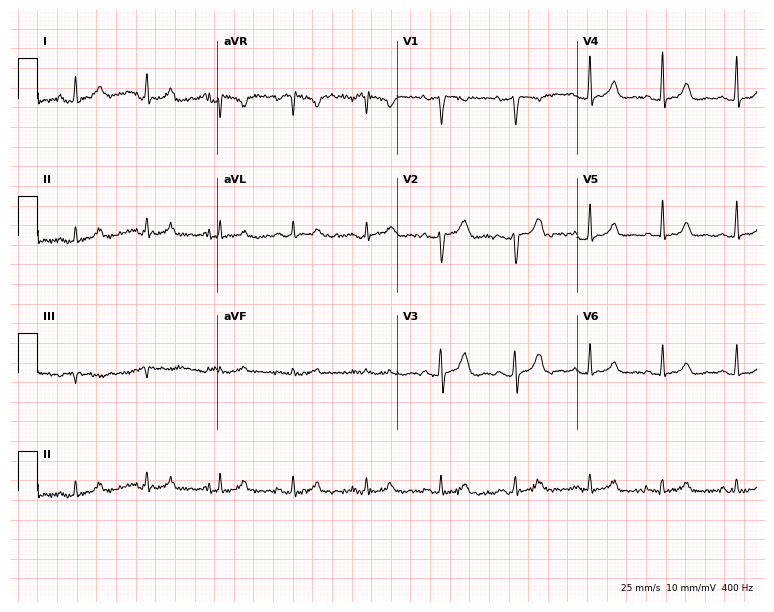
ECG (7.3-second recording at 400 Hz) — a 46-year-old female. Labelled as a normal ECG.